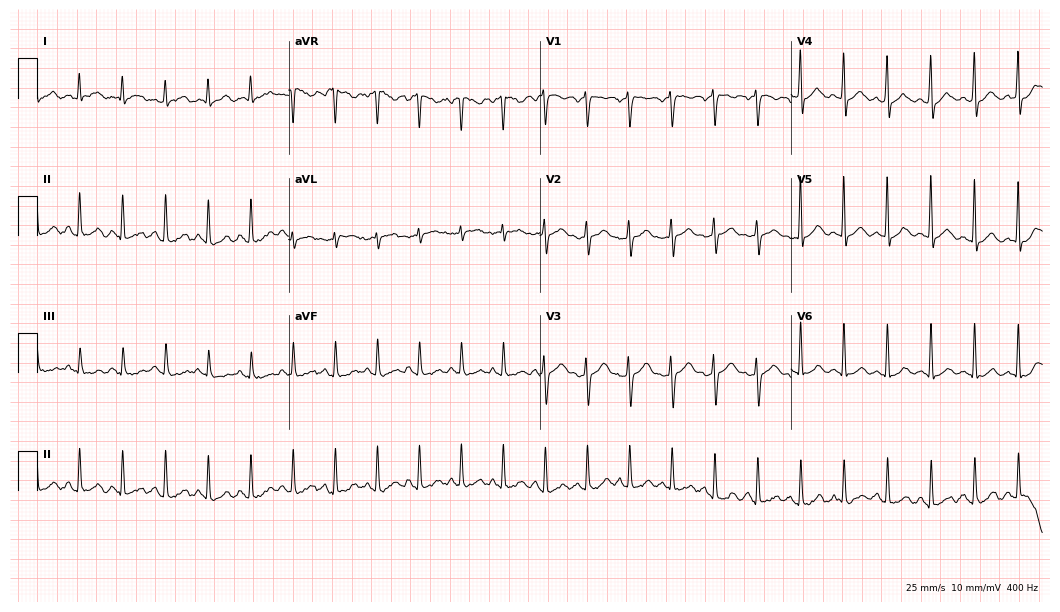
12-lead ECG from a 49-year-old female (10.2-second recording at 400 Hz). Shows sinus tachycardia (a sinus rate of 100 beats per minute or more).